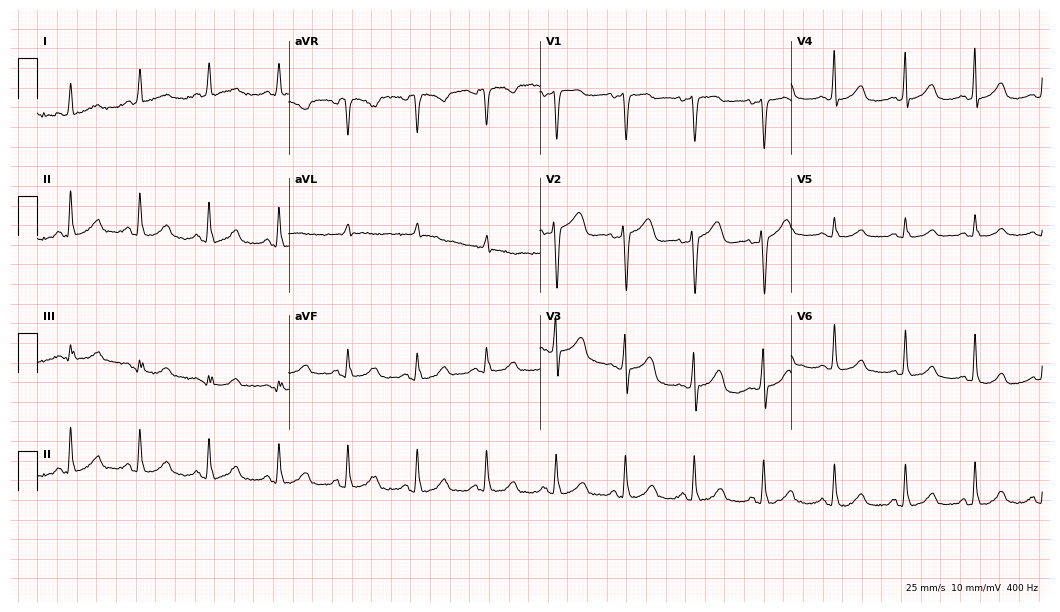
ECG — an 82-year-old woman. Labelled as a normal ECG.